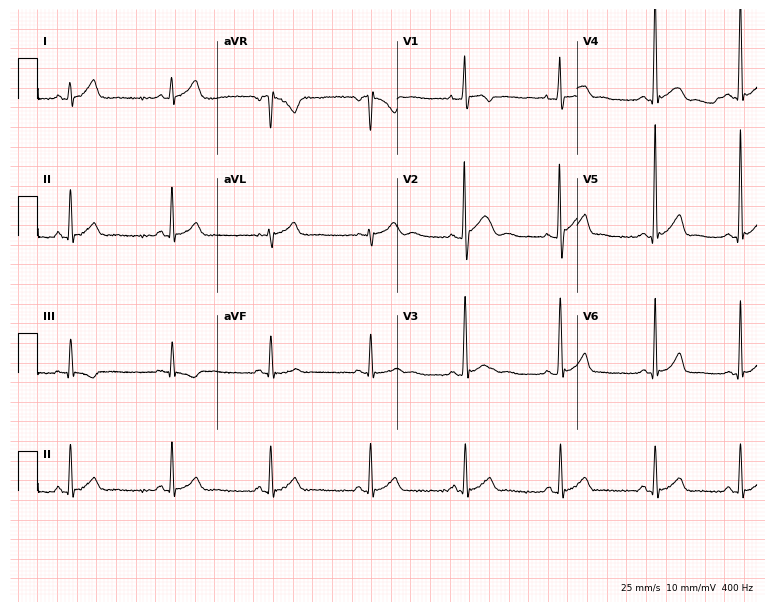
12-lead ECG (7.3-second recording at 400 Hz) from a male, 17 years old. Screened for six findings — first-degree AV block, right bundle branch block, left bundle branch block, sinus bradycardia, atrial fibrillation, sinus tachycardia — none is recorded.